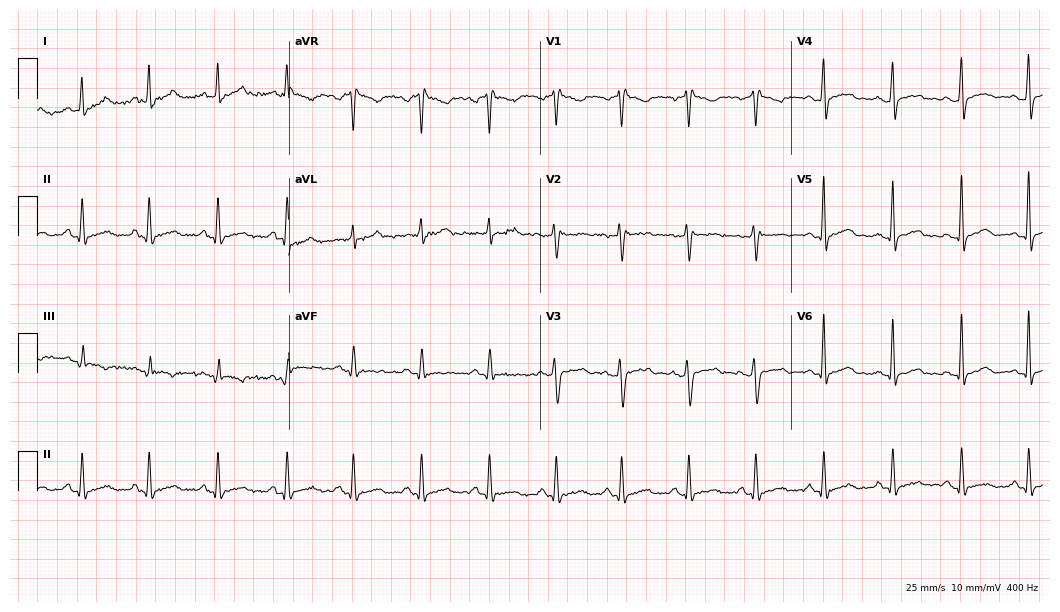
Standard 12-lead ECG recorded from a 33-year-old female patient. Read as a normal ECG.